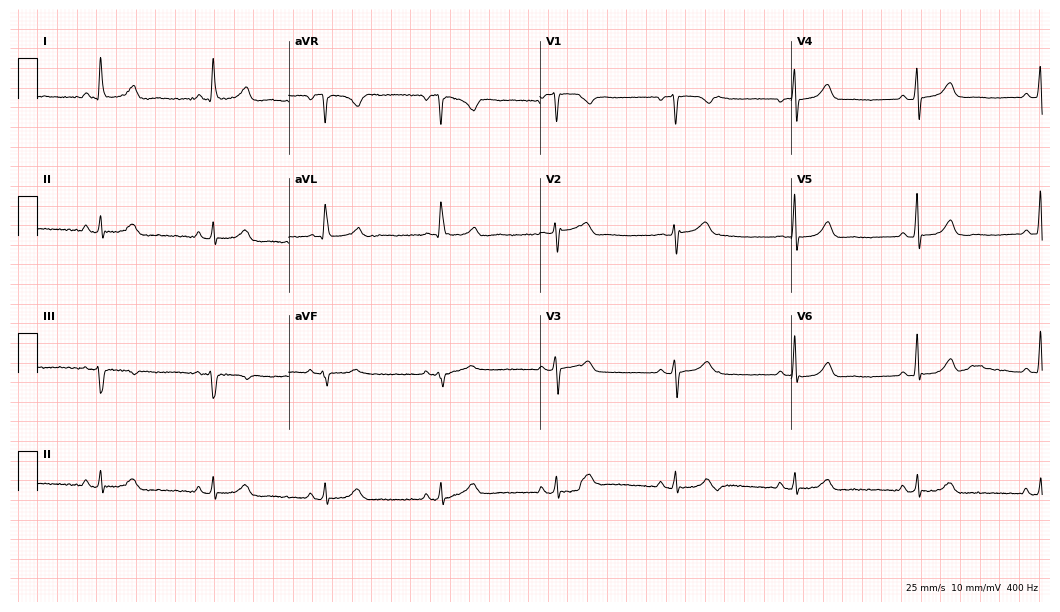
Resting 12-lead electrocardiogram. Patient: a female, 67 years old. Read as a normal ECG.